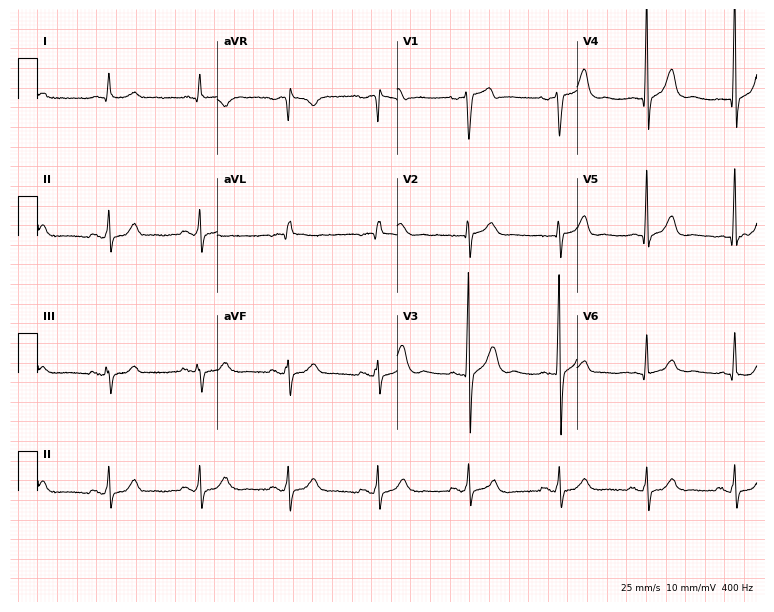
Standard 12-lead ECG recorded from a male patient, 63 years old (7.3-second recording at 400 Hz). Read as a normal ECG.